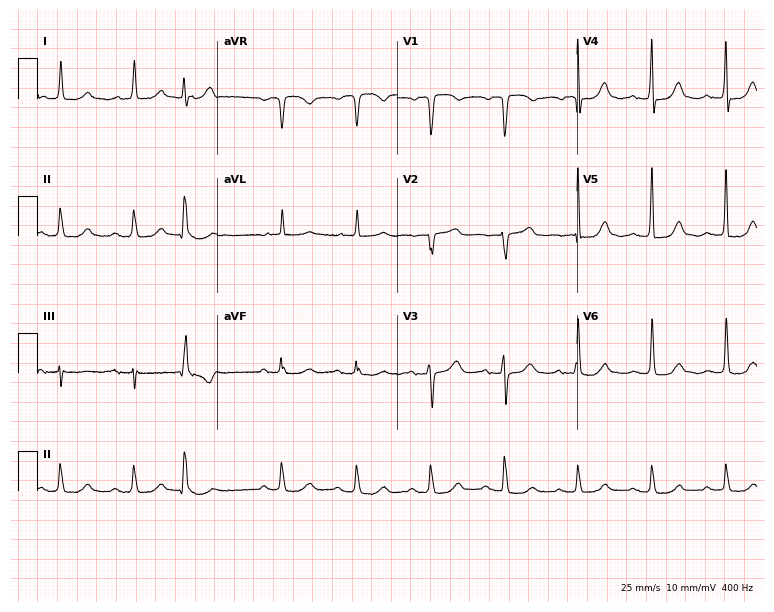
12-lead ECG from a female, 75 years old (7.3-second recording at 400 Hz). No first-degree AV block, right bundle branch block (RBBB), left bundle branch block (LBBB), sinus bradycardia, atrial fibrillation (AF) or sinus tachycardia recorded for this tracing.